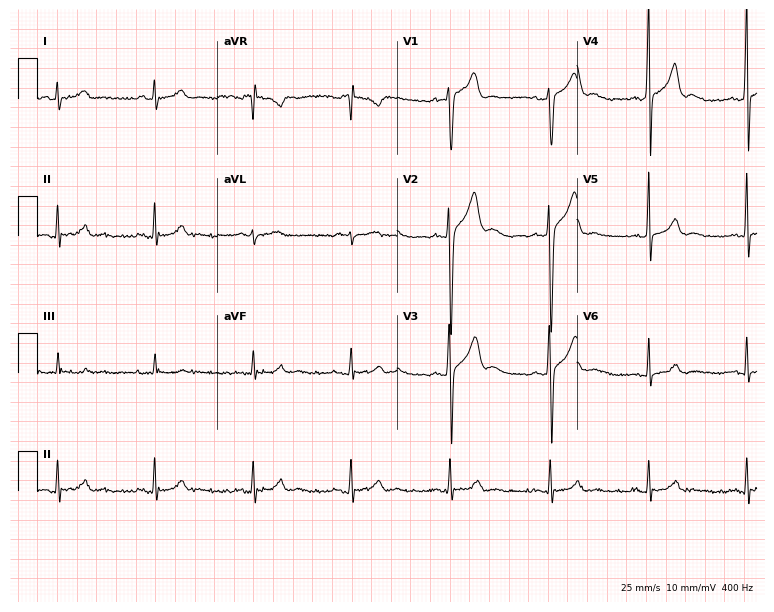
Resting 12-lead electrocardiogram. Patient: a 43-year-old male. None of these six findings is recorded: first-degree AV block, right bundle branch block, left bundle branch block, sinus bradycardia, atrial fibrillation, sinus tachycardia.